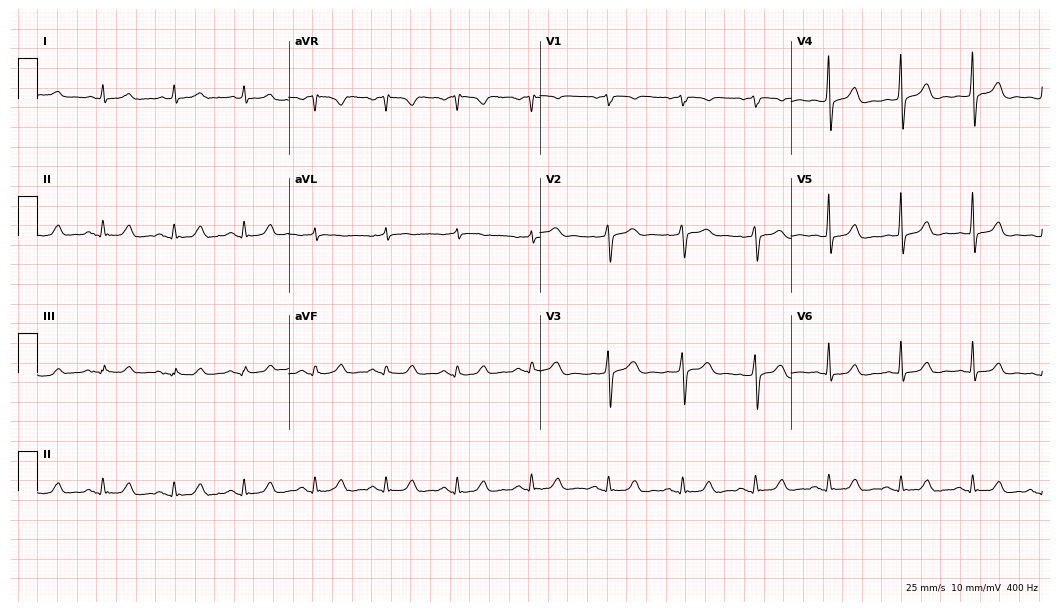
12-lead ECG from a male, 60 years old (10.2-second recording at 400 Hz). No first-degree AV block, right bundle branch block, left bundle branch block, sinus bradycardia, atrial fibrillation or sinus tachycardia recorded for this tracing.